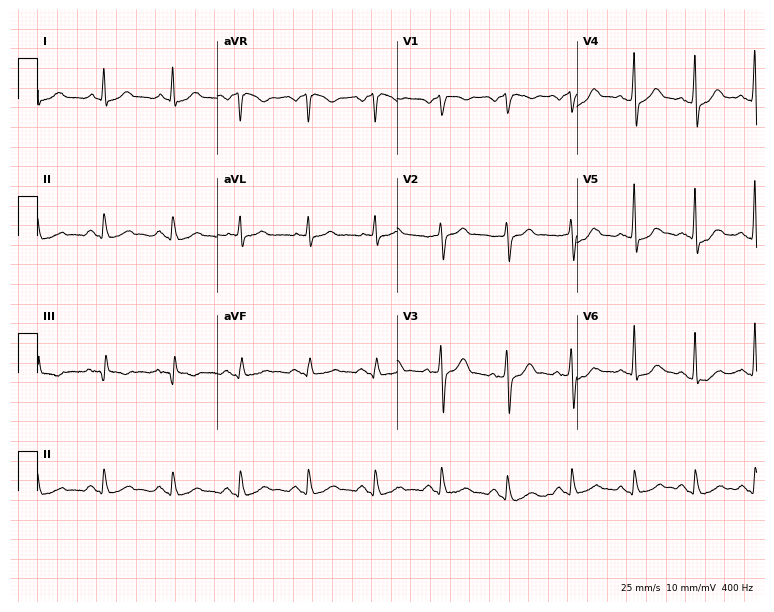
Resting 12-lead electrocardiogram. Patient: a male, 54 years old. Read as a normal ECG.